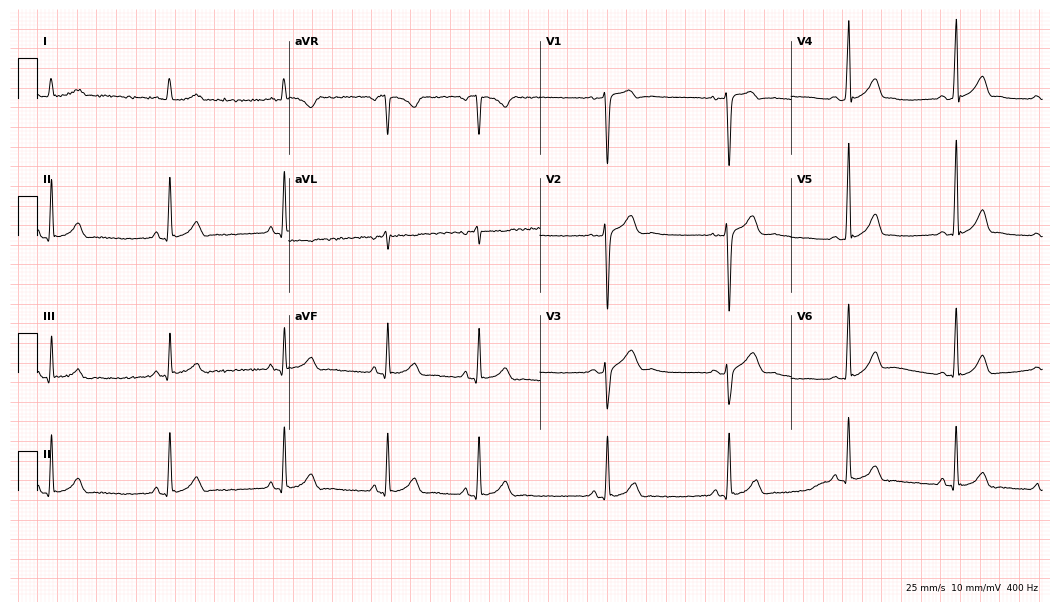
12-lead ECG from a 20-year-old male. Recorded interpretation: within normal limits.